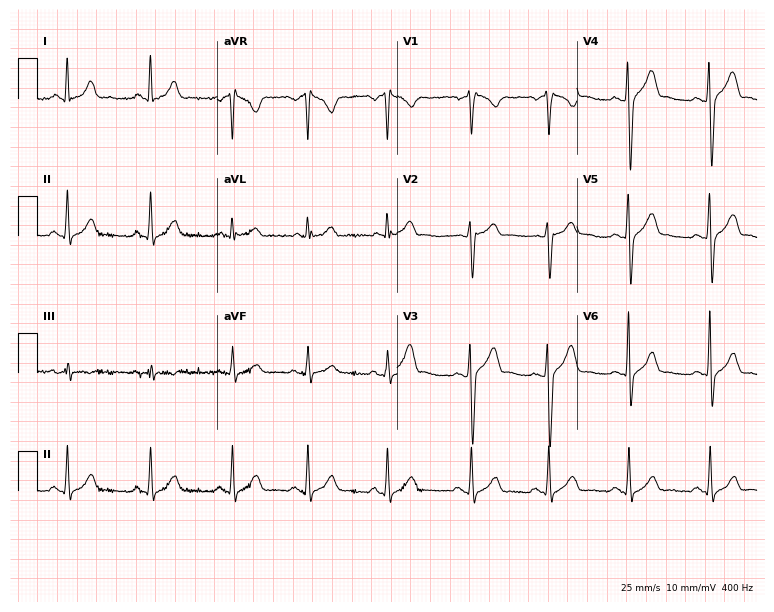
Standard 12-lead ECG recorded from a man, 21 years old. None of these six findings is recorded: first-degree AV block, right bundle branch block (RBBB), left bundle branch block (LBBB), sinus bradycardia, atrial fibrillation (AF), sinus tachycardia. Findings outside these six are not listed.